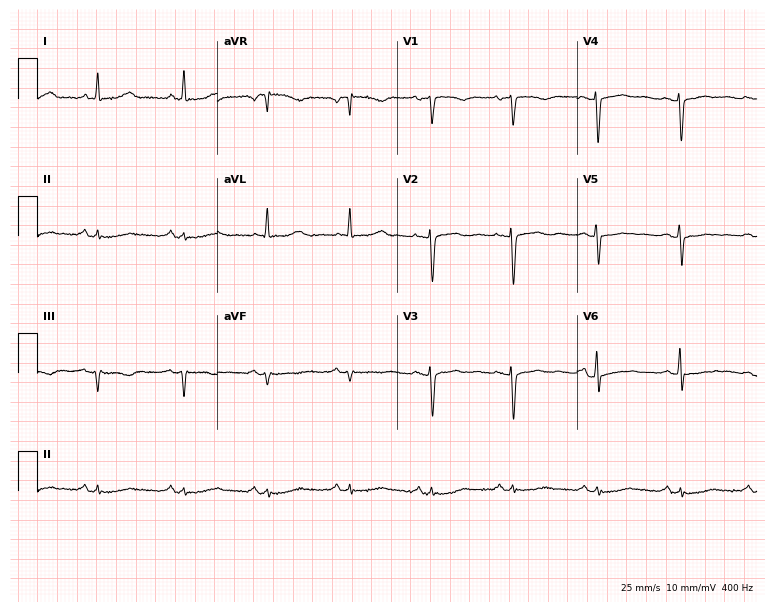
12-lead ECG (7.3-second recording at 400 Hz) from a 71-year-old female. Labelled as a normal ECG.